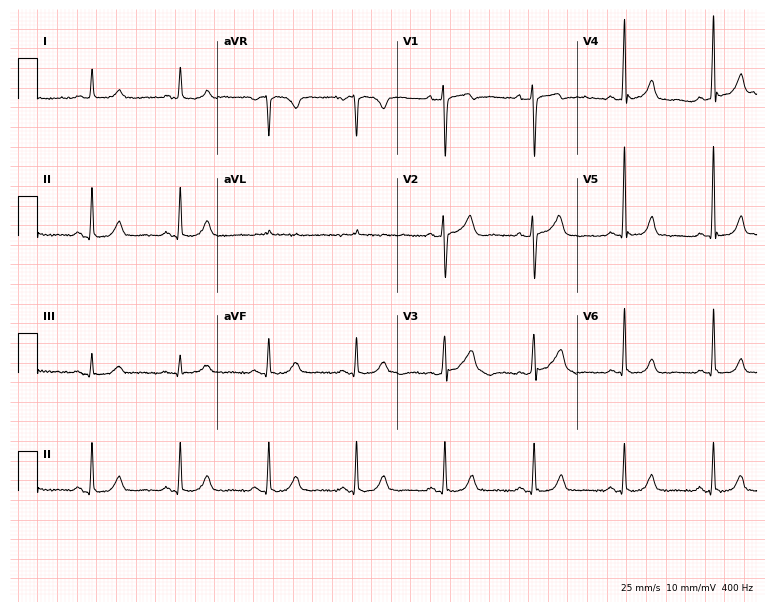
Electrocardiogram, a 59-year-old woman. Overall reading on record: normal ECG.